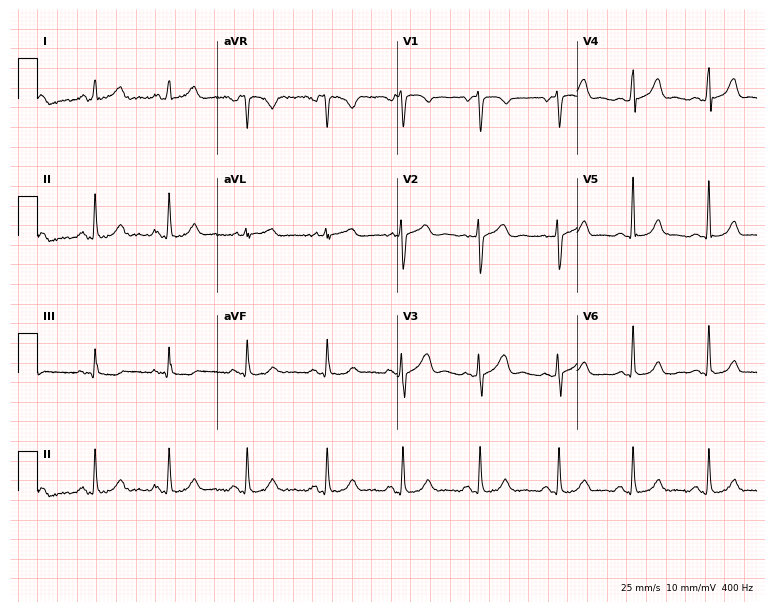
12-lead ECG from a 27-year-old female patient. Recorded interpretation: within normal limits.